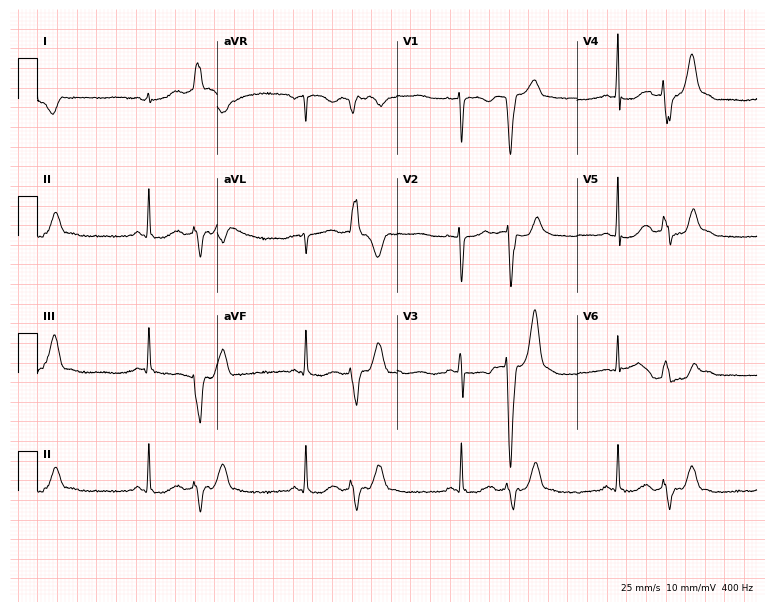
12-lead ECG (7.3-second recording at 400 Hz) from an 18-year-old female. Screened for six findings — first-degree AV block, right bundle branch block, left bundle branch block, sinus bradycardia, atrial fibrillation, sinus tachycardia — none is recorded. Findings outside these six are not listed.